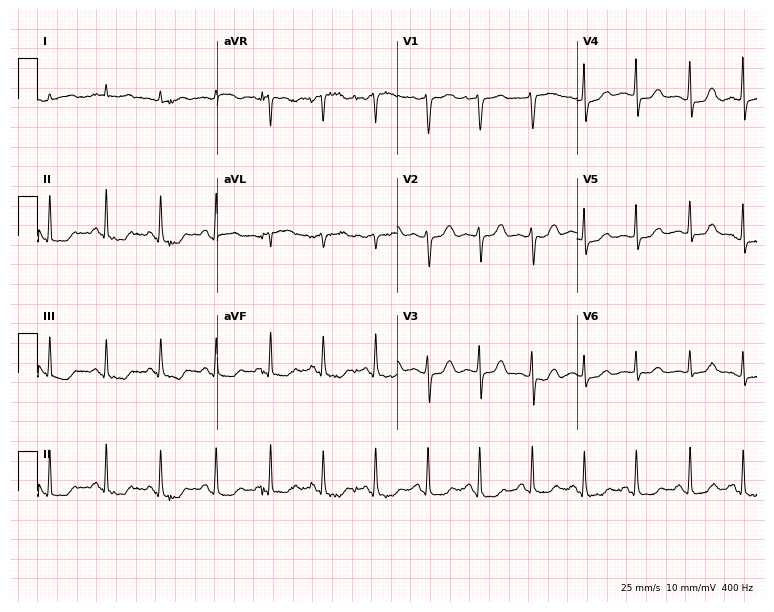
12-lead ECG from a woman, 34 years old. Findings include sinus tachycardia (a sinus rate of 100 beats per minute or more).